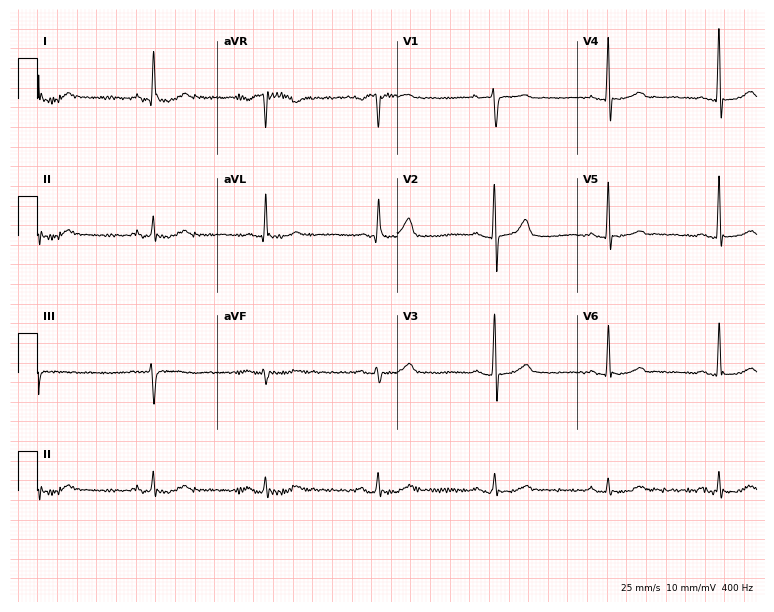
Electrocardiogram, a 52-year-old man. Overall reading on record: normal ECG.